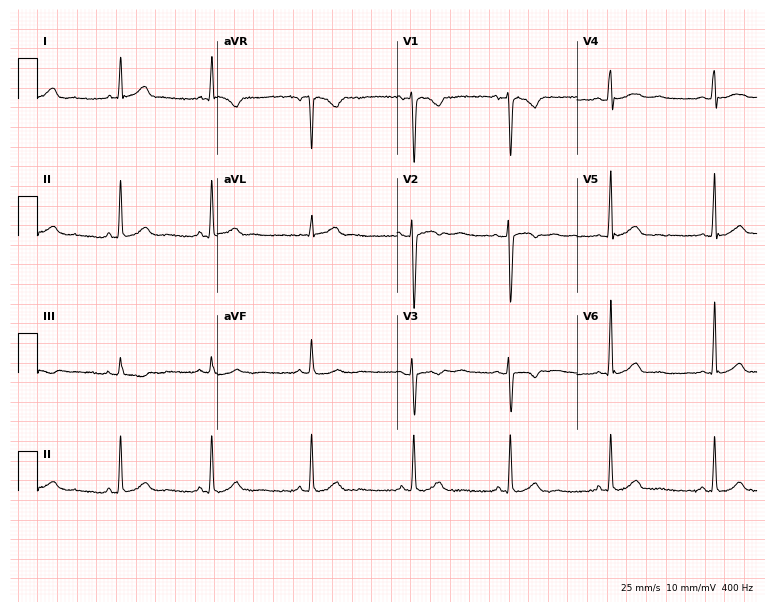
12-lead ECG from a female patient, 38 years old. No first-degree AV block, right bundle branch block (RBBB), left bundle branch block (LBBB), sinus bradycardia, atrial fibrillation (AF) or sinus tachycardia recorded for this tracing. Other findings, if any, are not listed.